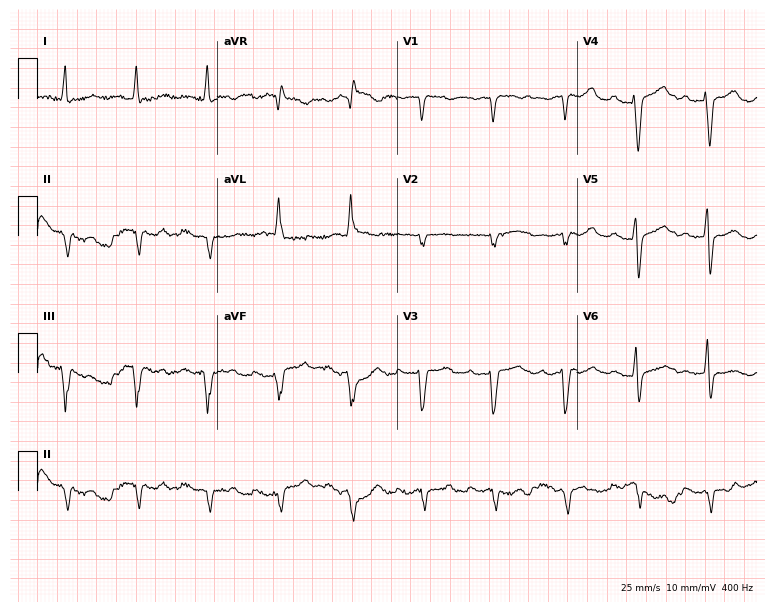
Electrocardiogram (7.3-second recording at 400 Hz), a female, 77 years old. Interpretation includes first-degree AV block.